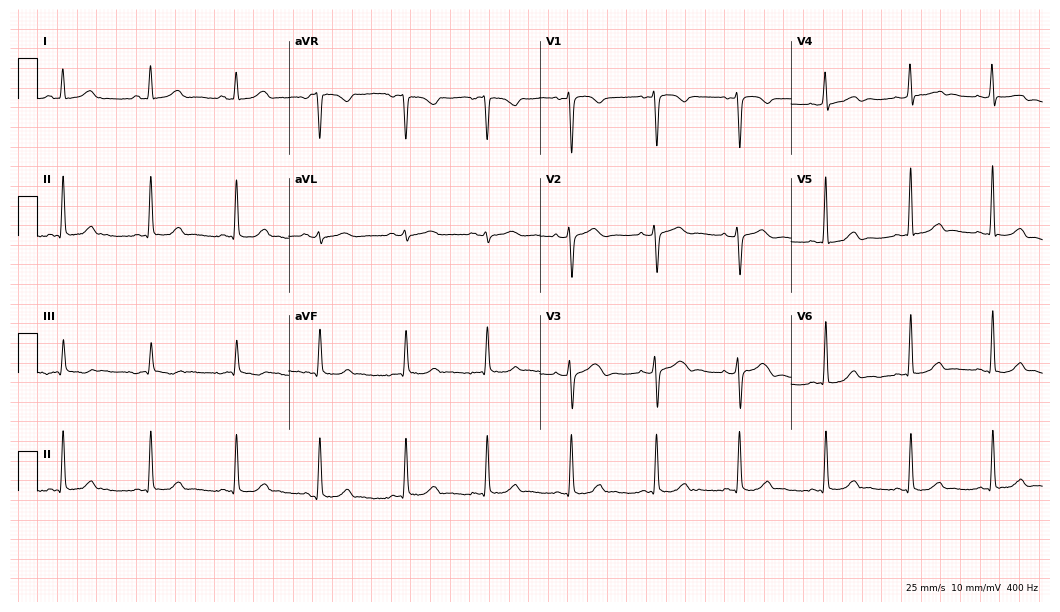
12-lead ECG from a 29-year-old female patient. Labelled as a normal ECG.